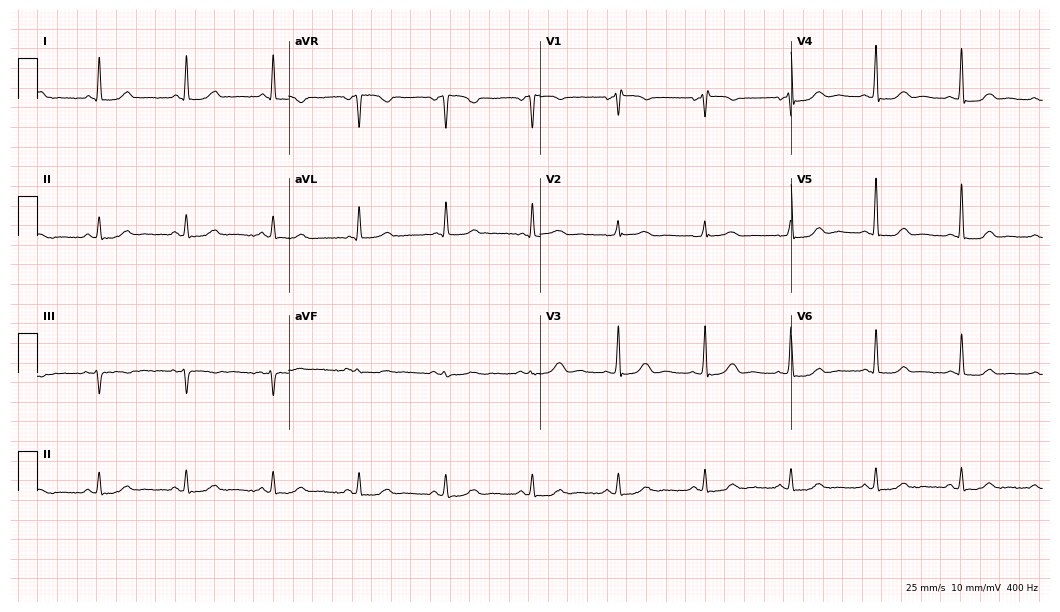
Standard 12-lead ECG recorded from a female patient, 63 years old. None of these six findings is recorded: first-degree AV block, right bundle branch block, left bundle branch block, sinus bradycardia, atrial fibrillation, sinus tachycardia.